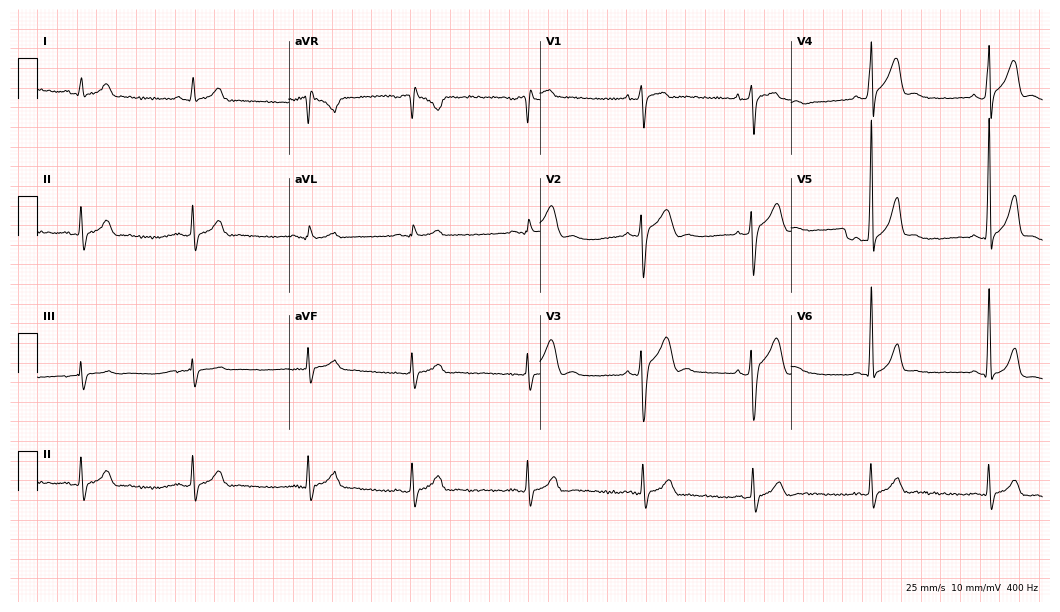
ECG — a 17-year-old male. Screened for six findings — first-degree AV block, right bundle branch block (RBBB), left bundle branch block (LBBB), sinus bradycardia, atrial fibrillation (AF), sinus tachycardia — none is recorded.